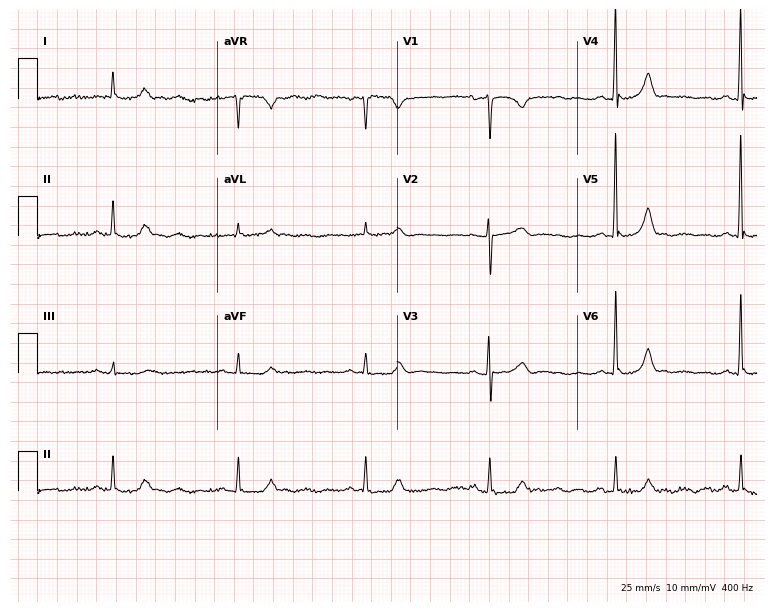
12-lead ECG from a male, 64 years old (7.3-second recording at 400 Hz). No first-degree AV block, right bundle branch block, left bundle branch block, sinus bradycardia, atrial fibrillation or sinus tachycardia recorded for this tracing. Other findings, if any, are not listed.